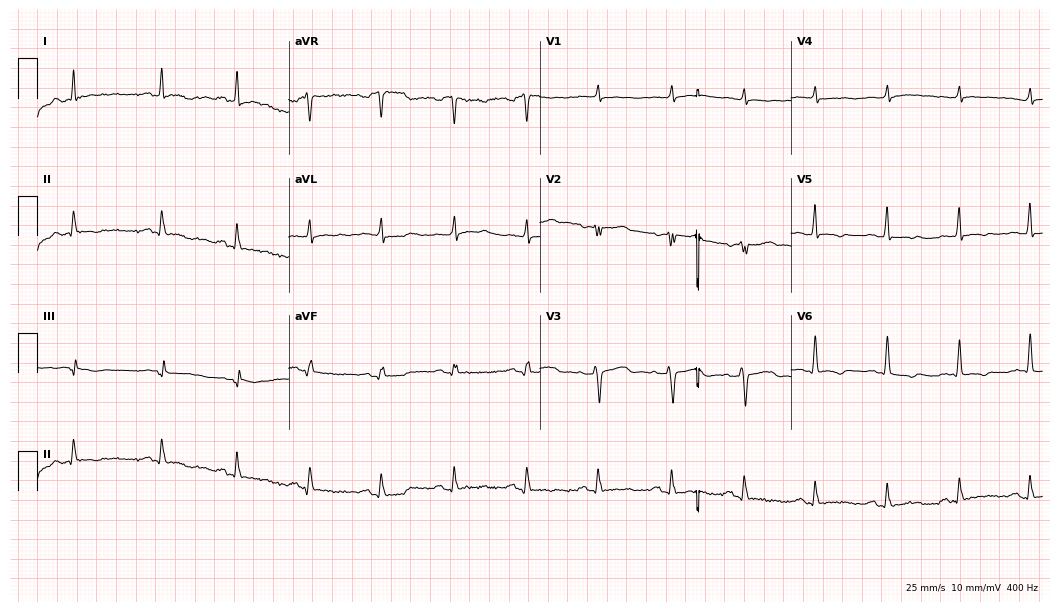
Electrocardiogram (10.2-second recording at 400 Hz), a female, 57 years old. Of the six screened findings (first-degree AV block, right bundle branch block (RBBB), left bundle branch block (LBBB), sinus bradycardia, atrial fibrillation (AF), sinus tachycardia), none is recorded. Findings outside these six are not listed.